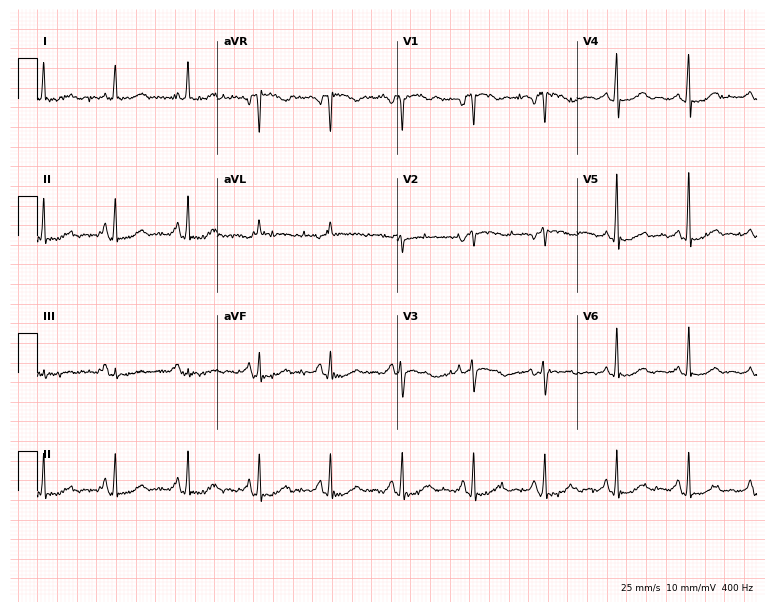
Resting 12-lead electrocardiogram (7.3-second recording at 400 Hz). Patient: a 65-year-old female. Read as a normal ECG.